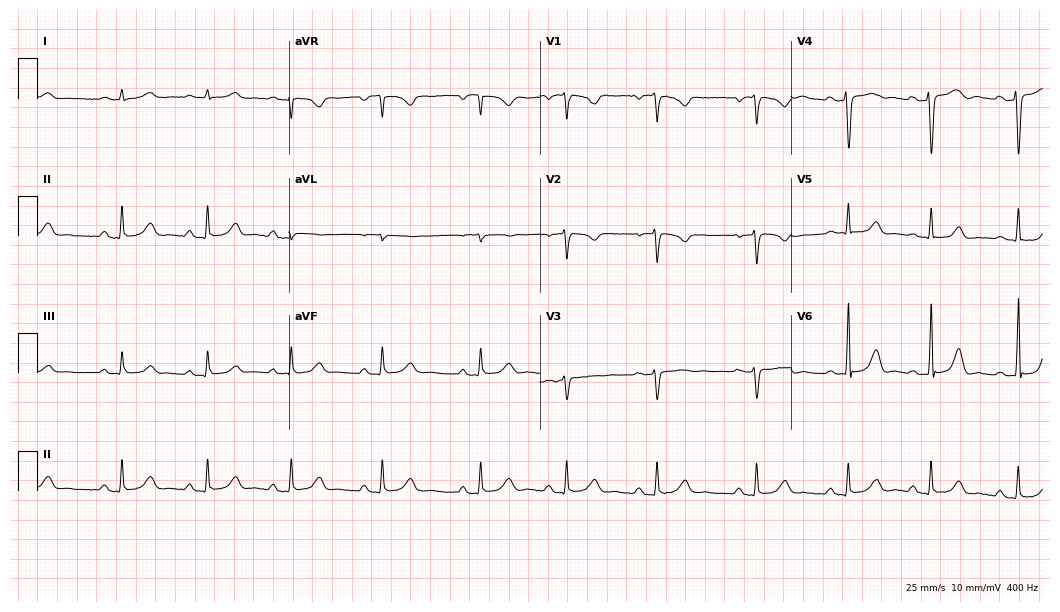
ECG — a woman, 35 years old. Labelled as a normal ECG.